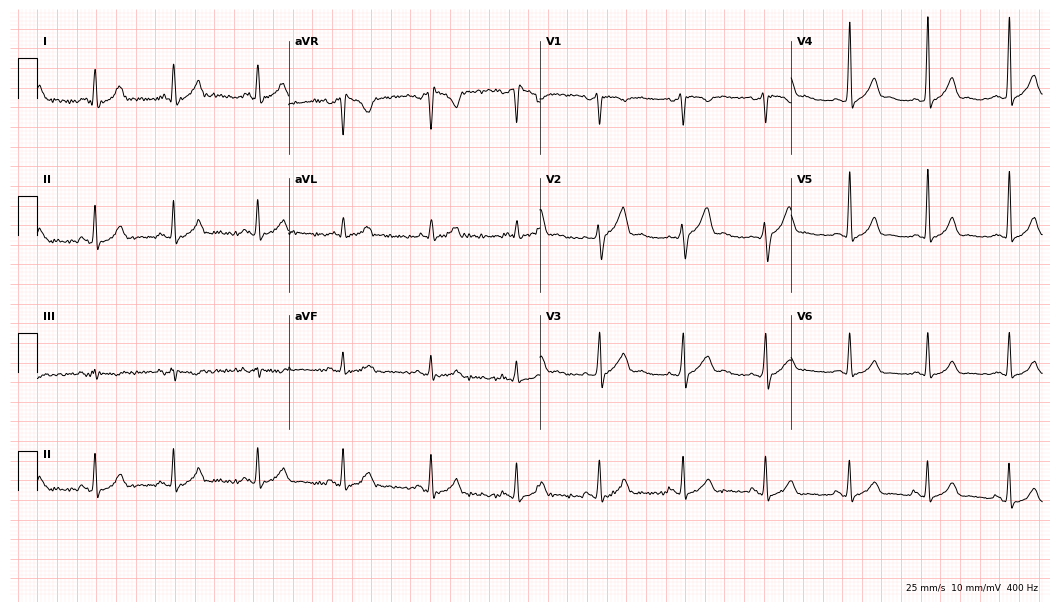
Resting 12-lead electrocardiogram. Patient: a 34-year-old male. Read as a normal ECG.